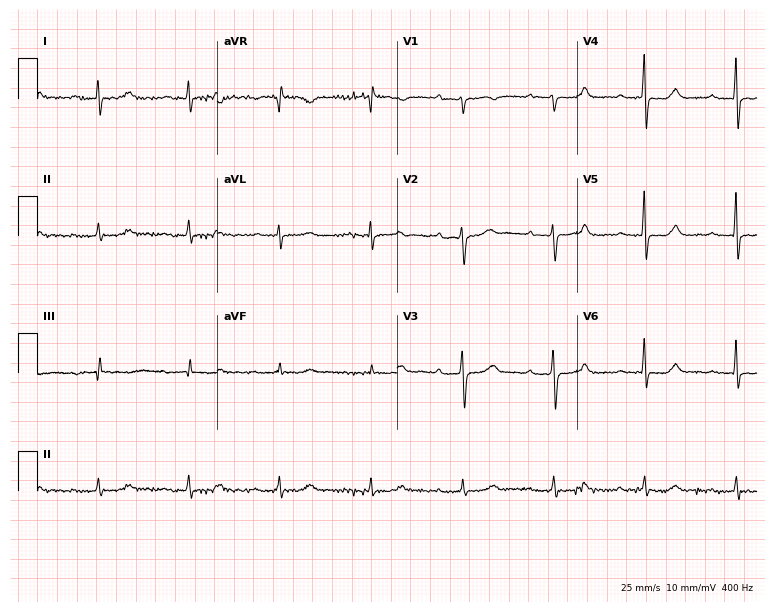
ECG (7.3-second recording at 400 Hz) — a woman, 72 years old. Screened for six findings — first-degree AV block, right bundle branch block, left bundle branch block, sinus bradycardia, atrial fibrillation, sinus tachycardia — none is recorded.